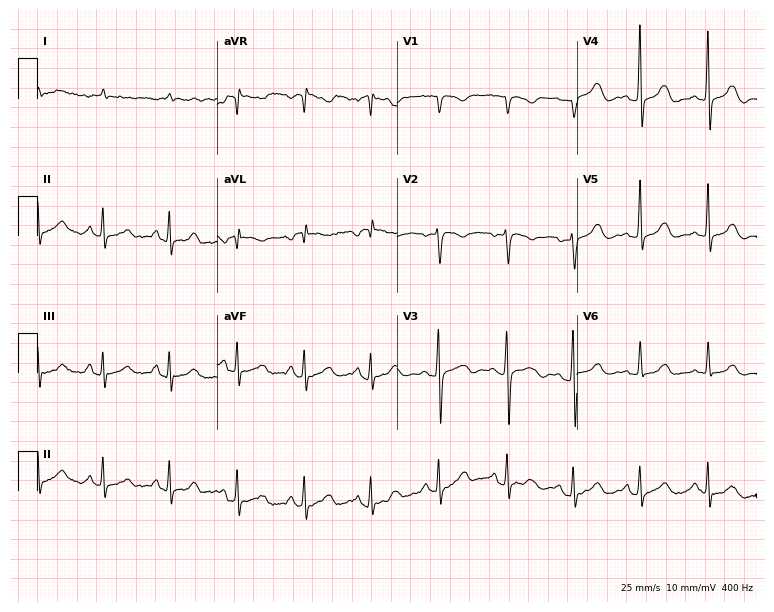
ECG (7.3-second recording at 400 Hz) — a 77-year-old female. Screened for six findings — first-degree AV block, right bundle branch block, left bundle branch block, sinus bradycardia, atrial fibrillation, sinus tachycardia — none is recorded.